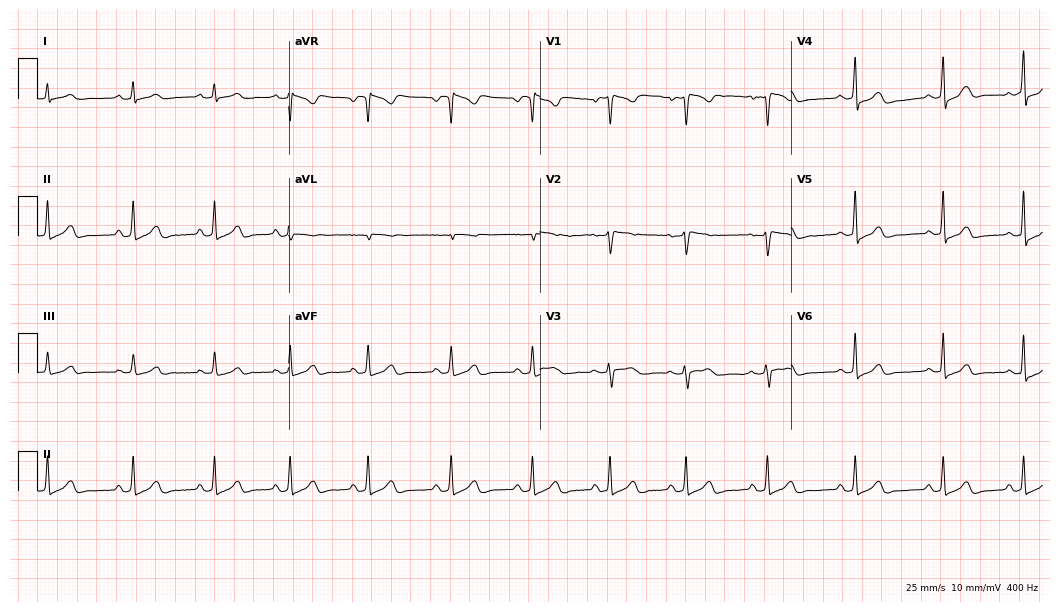
ECG (10.2-second recording at 400 Hz) — a 39-year-old female patient. Labelled as a normal ECG.